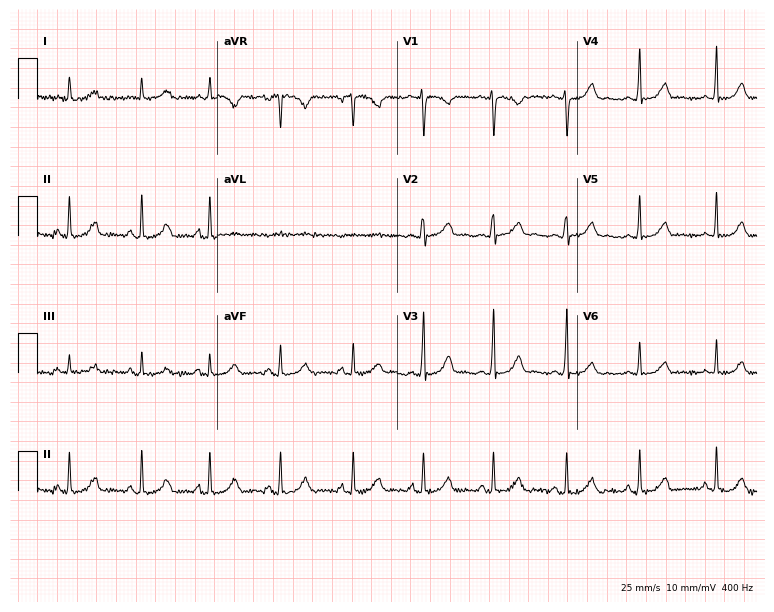
12-lead ECG from a woman, 20 years old. Screened for six findings — first-degree AV block, right bundle branch block (RBBB), left bundle branch block (LBBB), sinus bradycardia, atrial fibrillation (AF), sinus tachycardia — none is recorded.